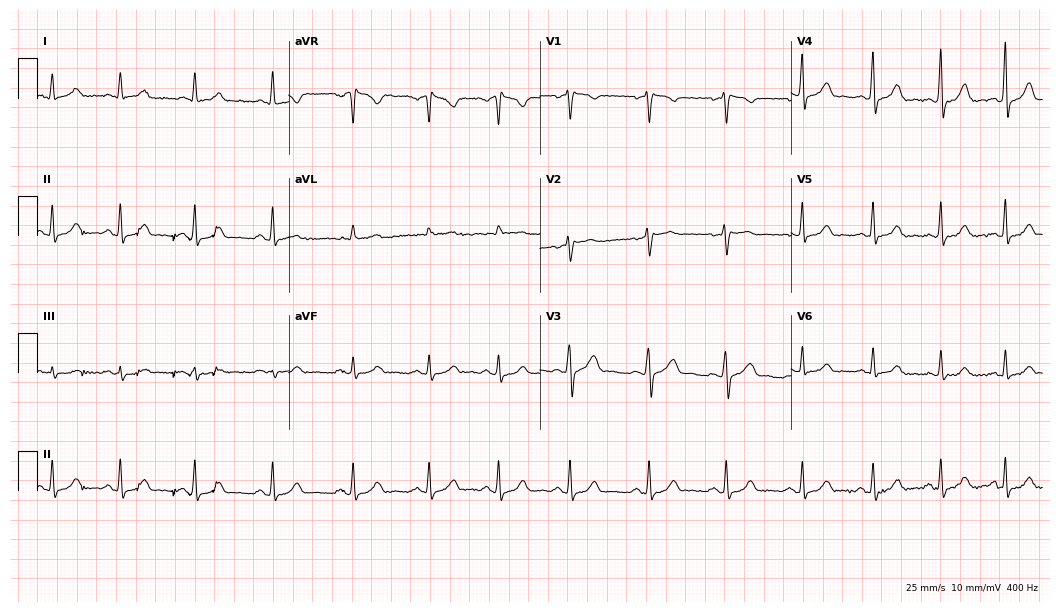
ECG — a 40-year-old female patient. Labelled as a normal ECG.